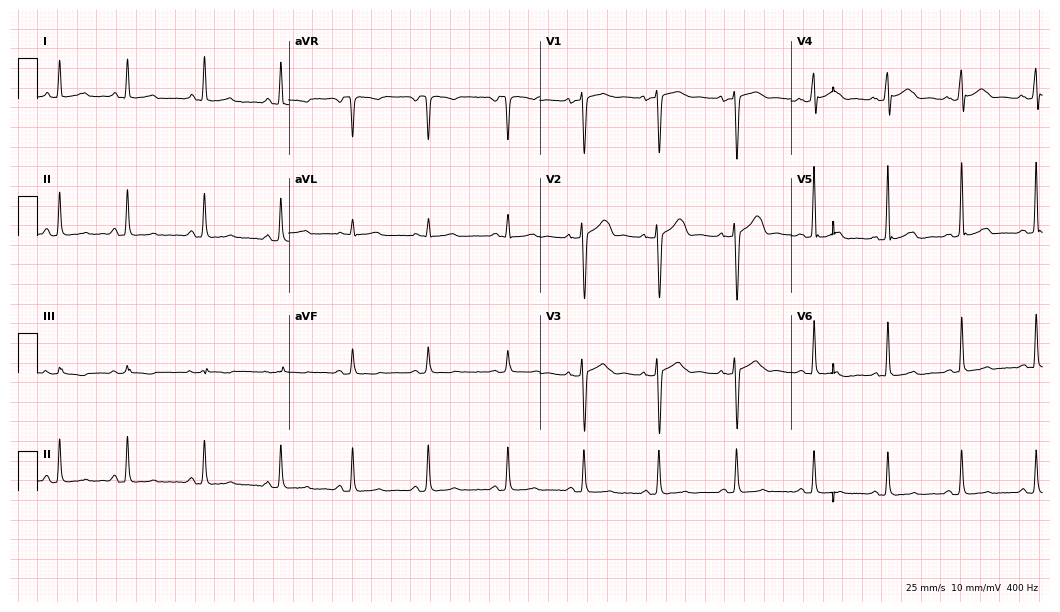
Resting 12-lead electrocardiogram. Patient: a 26-year-old female. Read as a normal ECG.